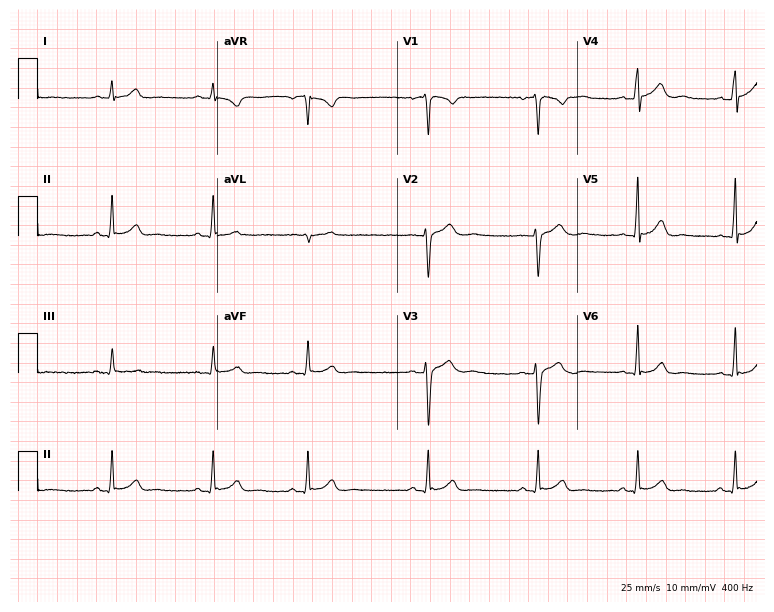
12-lead ECG from a 21-year-old male. Screened for six findings — first-degree AV block, right bundle branch block, left bundle branch block, sinus bradycardia, atrial fibrillation, sinus tachycardia — none is recorded.